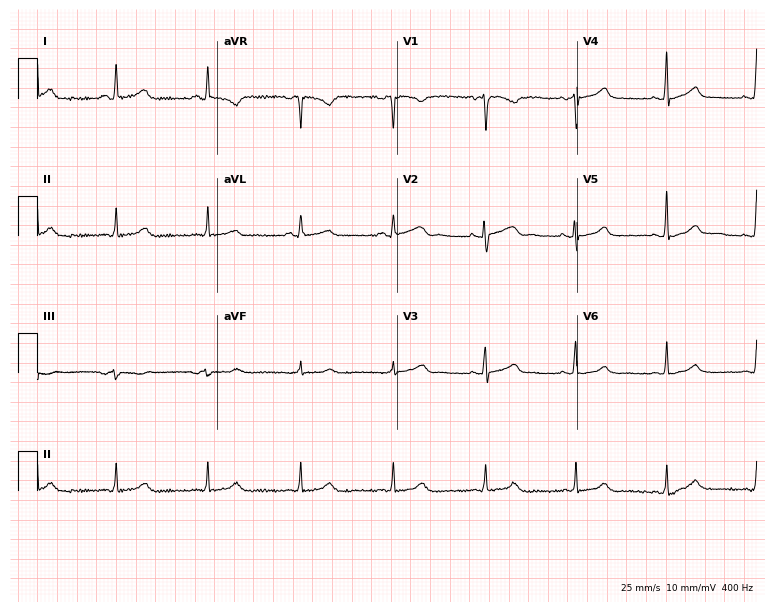
Resting 12-lead electrocardiogram (7.3-second recording at 400 Hz). Patient: a female, 45 years old. Read as a normal ECG.